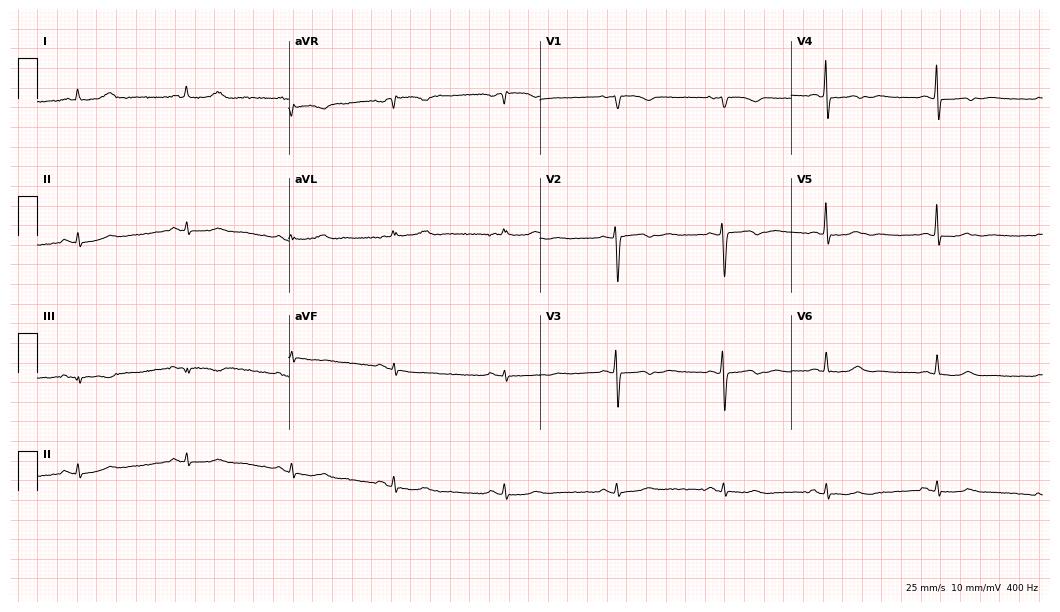
12-lead ECG from a 77-year-old female (10.2-second recording at 400 Hz). No first-degree AV block, right bundle branch block, left bundle branch block, sinus bradycardia, atrial fibrillation or sinus tachycardia recorded for this tracing.